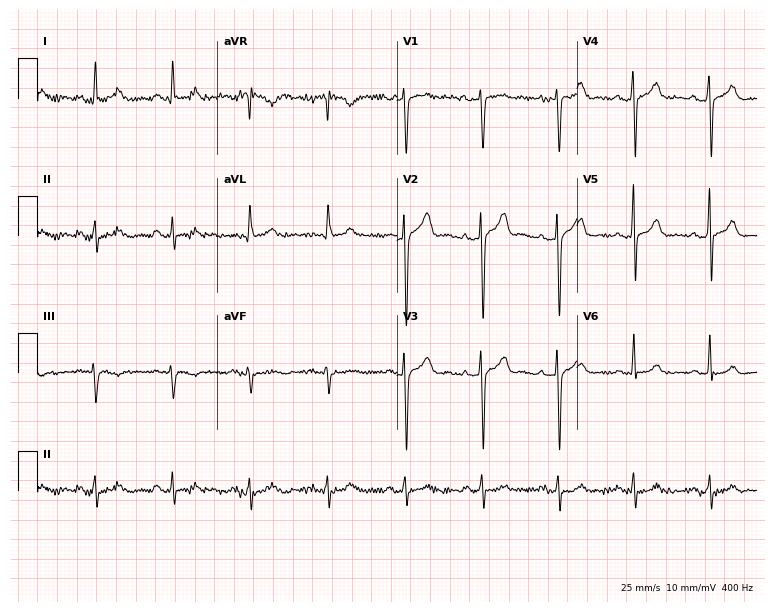
Electrocardiogram, a 63-year-old man. Overall reading on record: normal ECG.